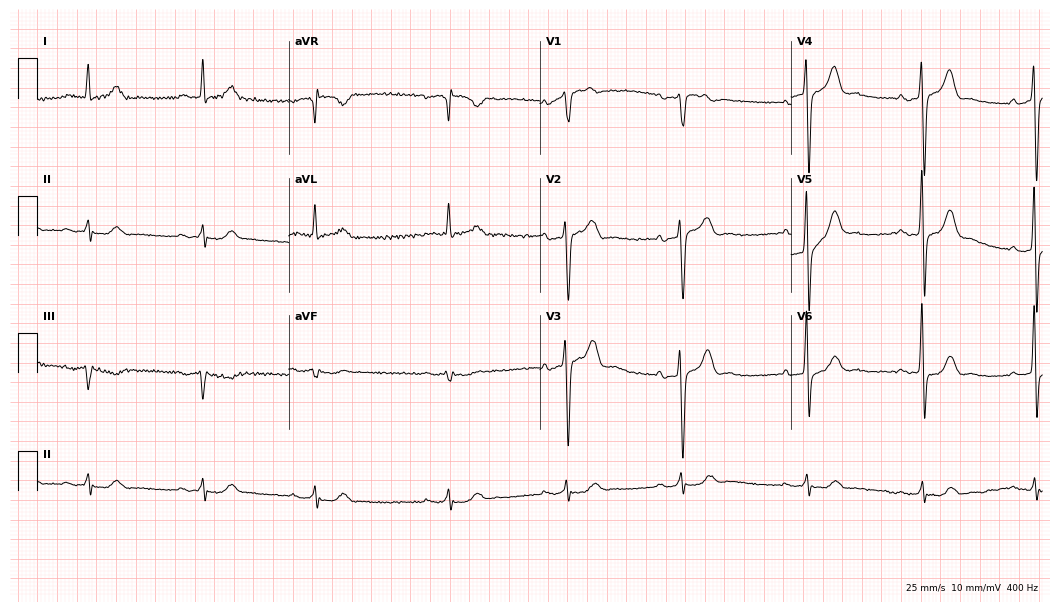
Standard 12-lead ECG recorded from an 81-year-old male patient (10.2-second recording at 400 Hz). The tracing shows first-degree AV block, sinus bradycardia (a sinus rate of 50 beats per minute or less).